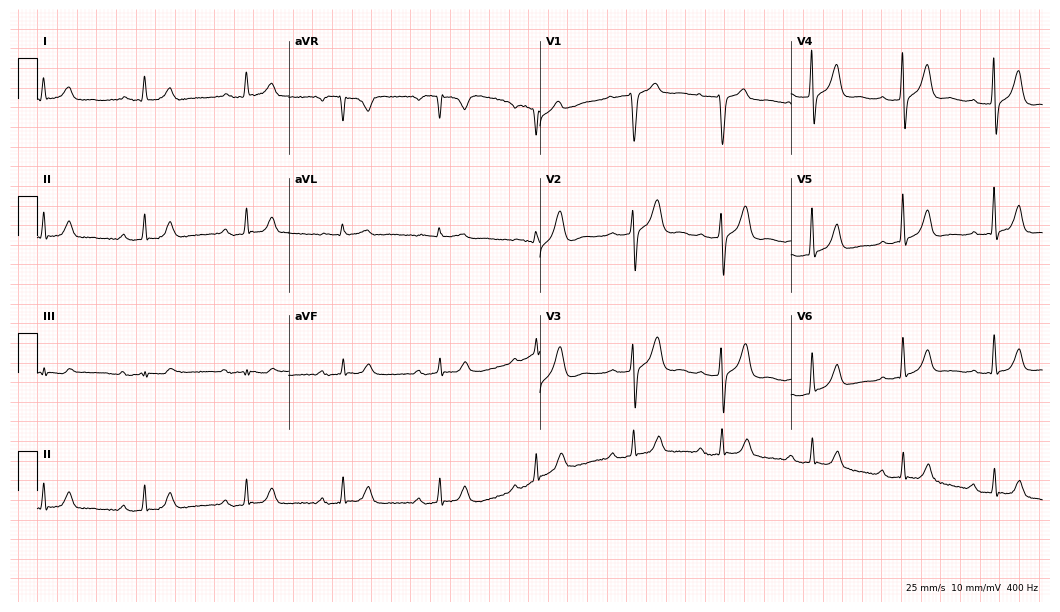
ECG — a 57-year-old male patient. Findings include first-degree AV block.